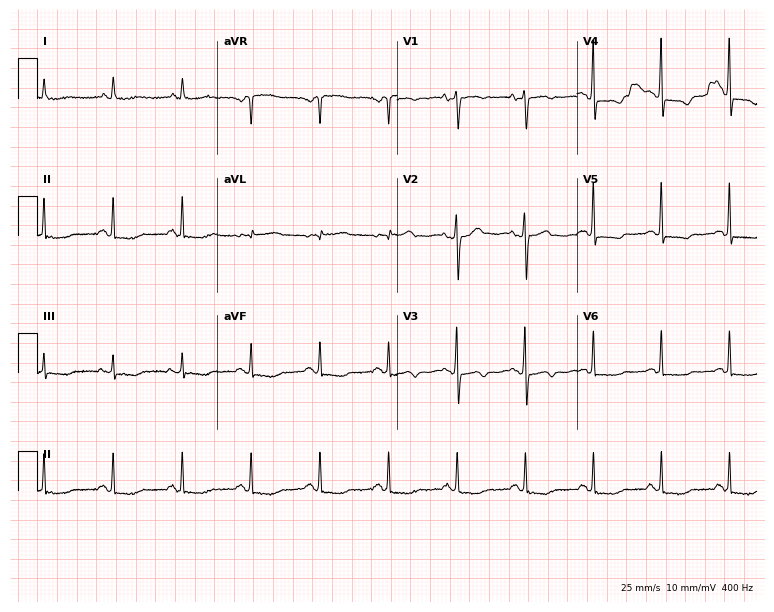
ECG — an 87-year-old woman. Screened for six findings — first-degree AV block, right bundle branch block, left bundle branch block, sinus bradycardia, atrial fibrillation, sinus tachycardia — none is recorded.